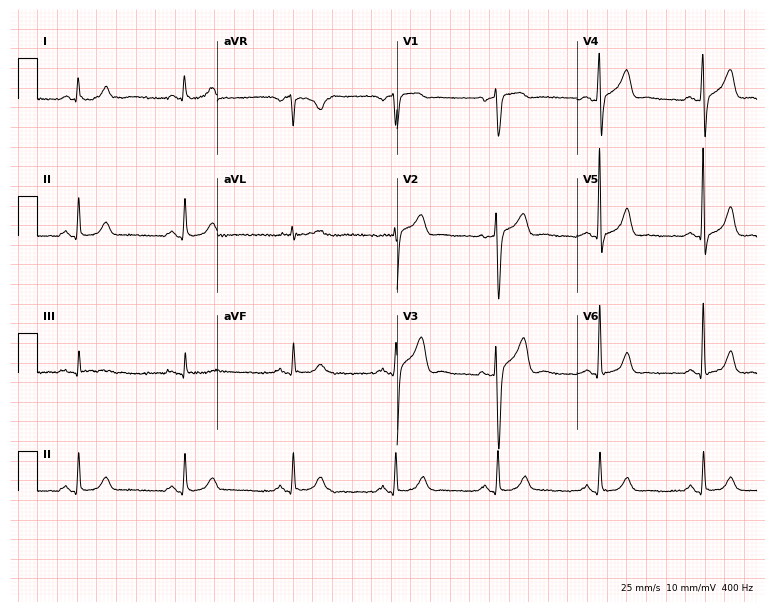
Electrocardiogram, a 70-year-old man. Of the six screened findings (first-degree AV block, right bundle branch block (RBBB), left bundle branch block (LBBB), sinus bradycardia, atrial fibrillation (AF), sinus tachycardia), none is recorded. Other findings, if any, are not listed.